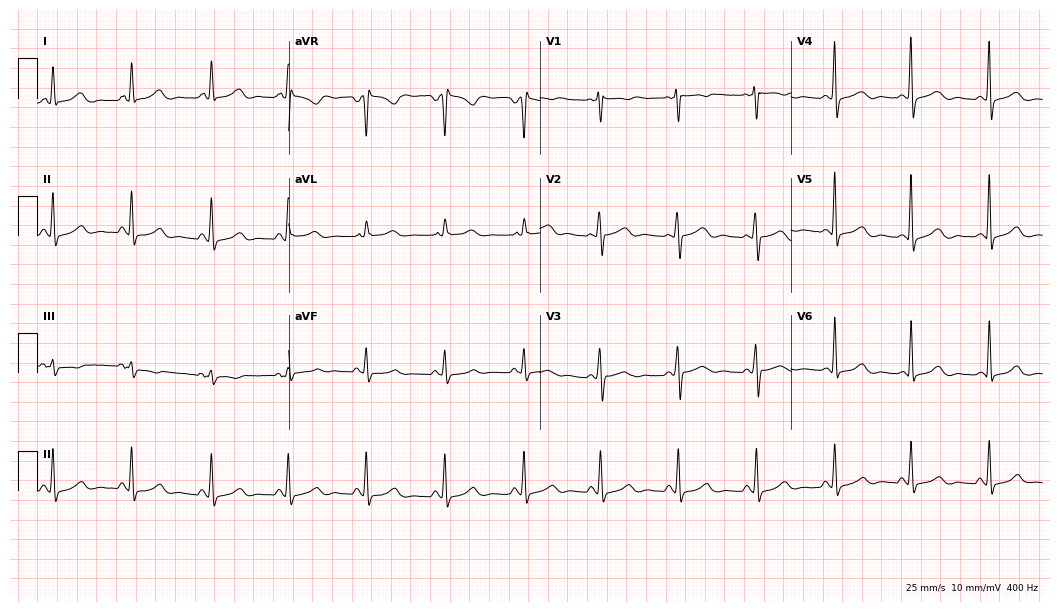
12-lead ECG from a 48-year-old female patient. No first-degree AV block, right bundle branch block, left bundle branch block, sinus bradycardia, atrial fibrillation or sinus tachycardia recorded for this tracing.